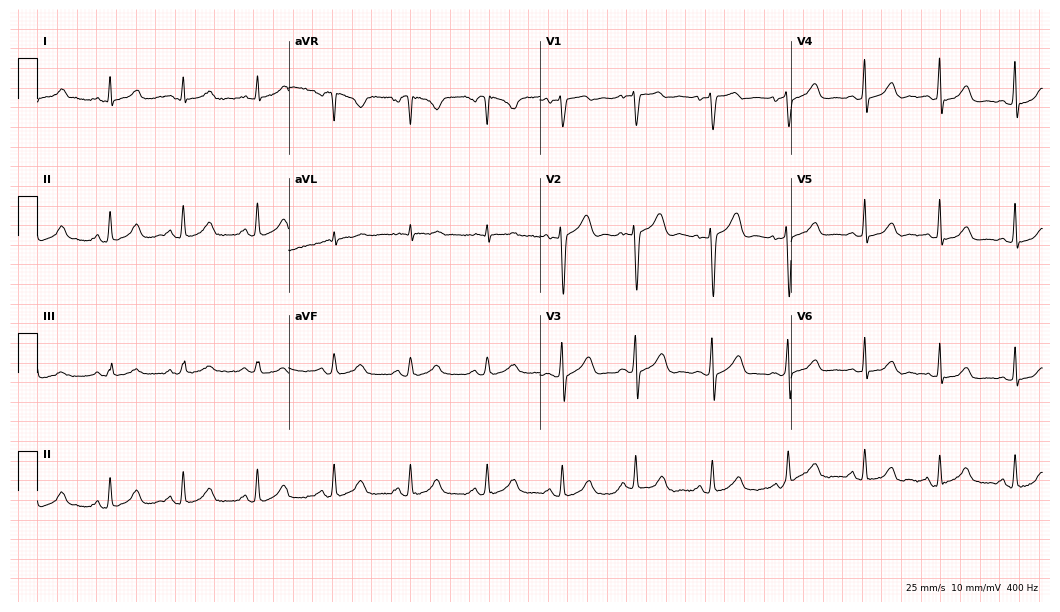
12-lead ECG from a female patient, 32 years old. Labelled as a normal ECG.